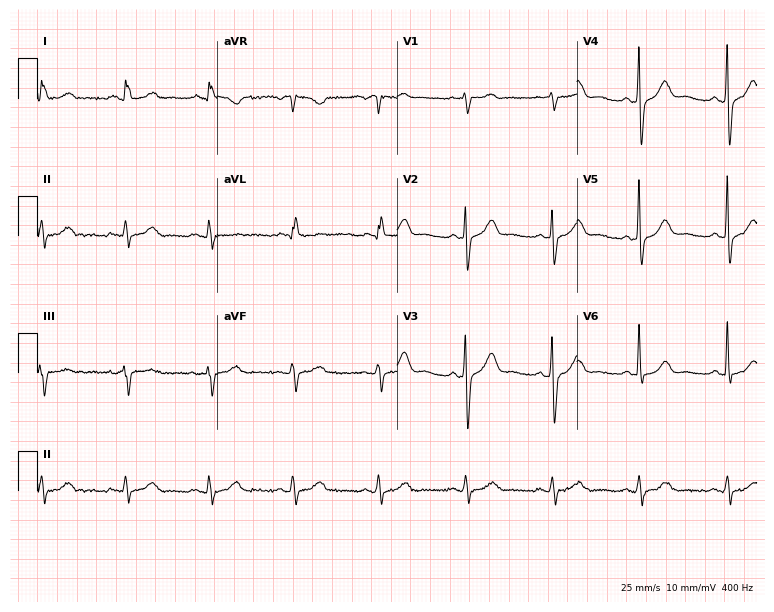
12-lead ECG from a 62-year-old male. Labelled as a normal ECG.